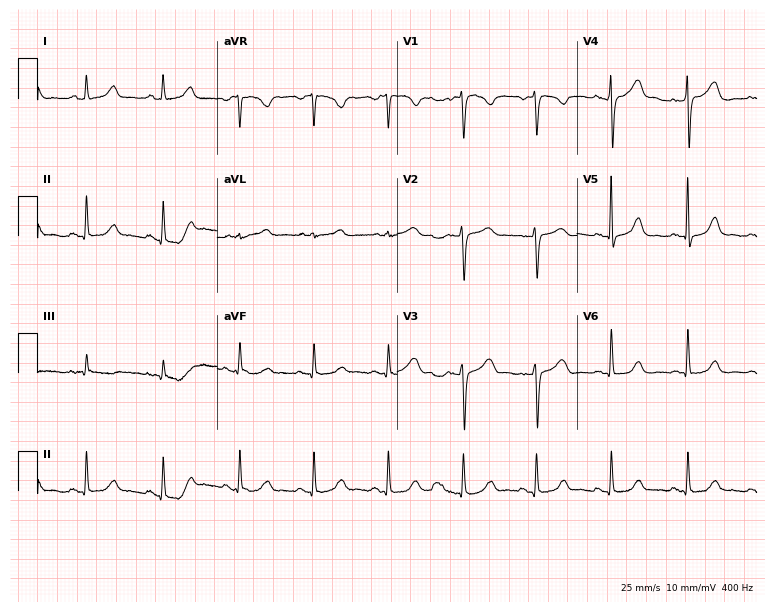
Electrocardiogram, a 47-year-old female. Of the six screened findings (first-degree AV block, right bundle branch block, left bundle branch block, sinus bradycardia, atrial fibrillation, sinus tachycardia), none is recorded.